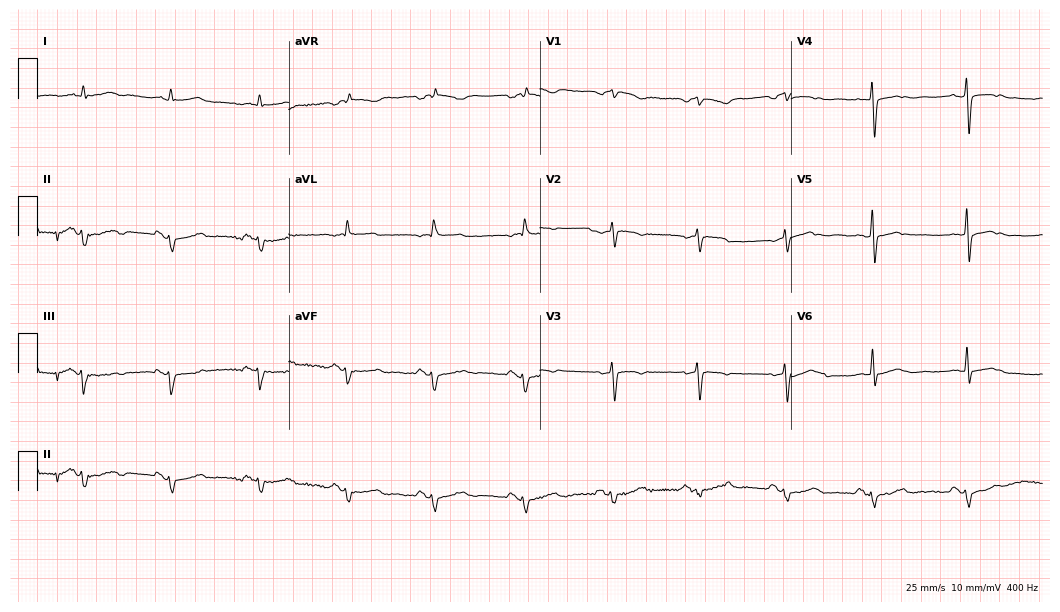
Electrocardiogram (10.2-second recording at 400 Hz), an 84-year-old male patient. Of the six screened findings (first-degree AV block, right bundle branch block, left bundle branch block, sinus bradycardia, atrial fibrillation, sinus tachycardia), none is recorded.